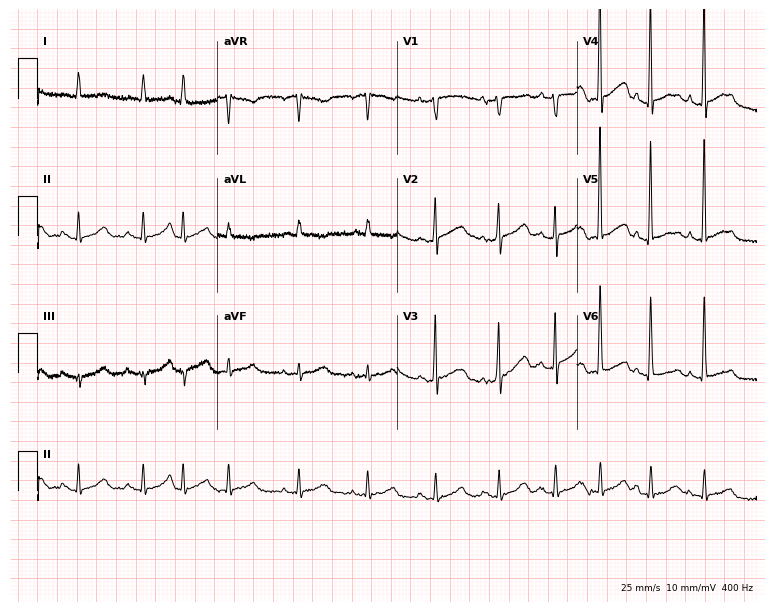
Standard 12-lead ECG recorded from a female patient, 35 years old (7.3-second recording at 400 Hz). Read as a normal ECG.